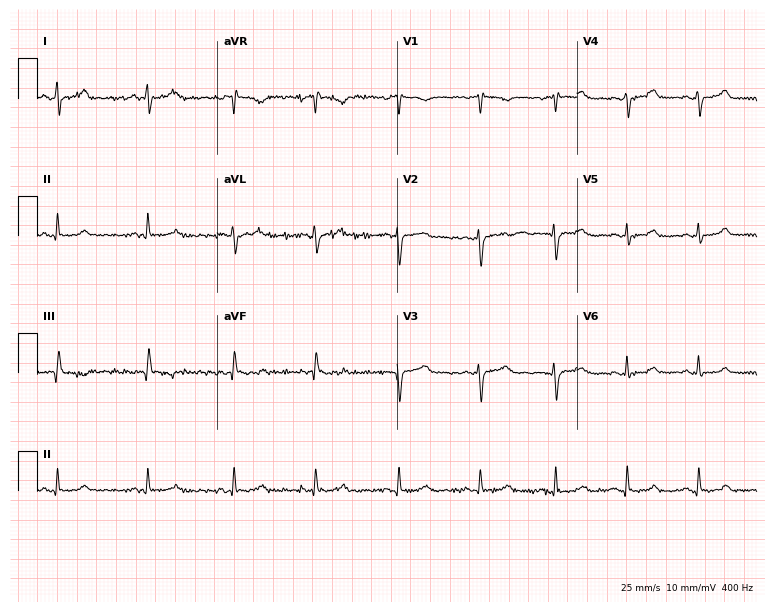
Standard 12-lead ECG recorded from a female, 22 years old. None of these six findings is recorded: first-degree AV block, right bundle branch block, left bundle branch block, sinus bradycardia, atrial fibrillation, sinus tachycardia. Only these six findings were labelled.